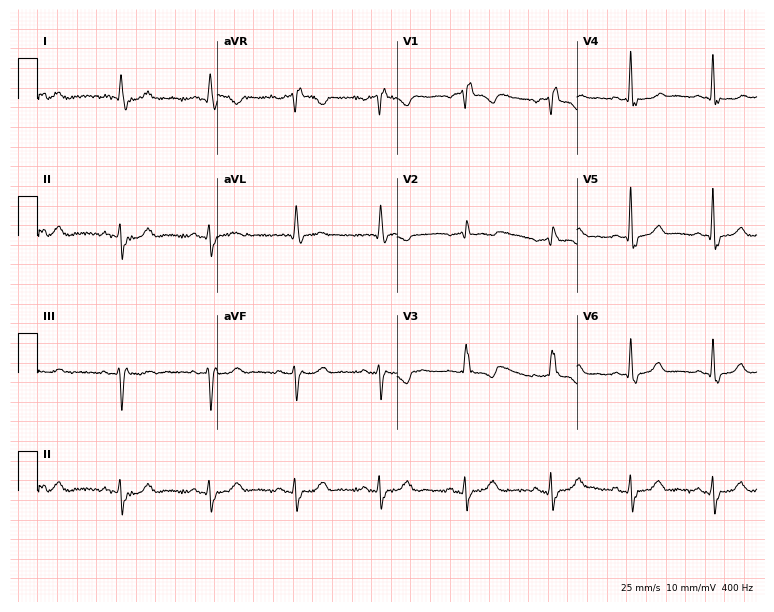
12-lead ECG from a 75-year-old male patient. Findings include right bundle branch block.